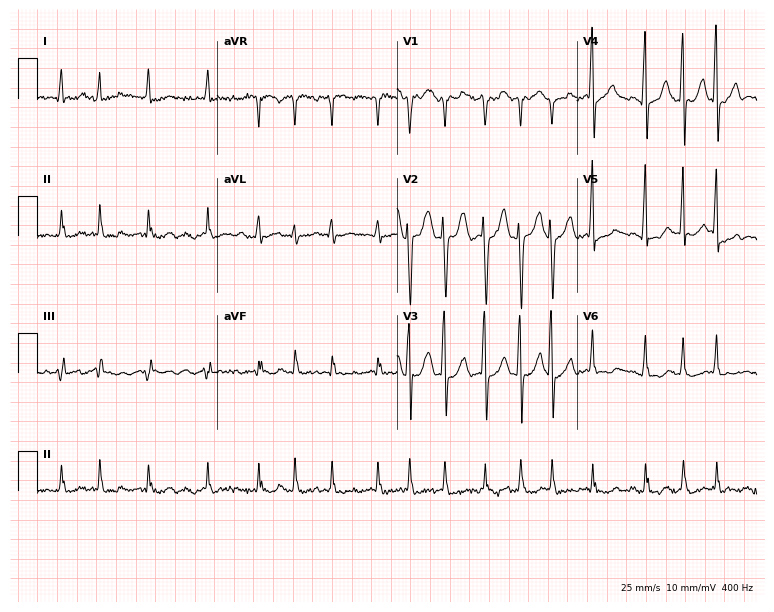
12-lead ECG from a 62-year-old man (7.3-second recording at 400 Hz). Shows atrial fibrillation (AF).